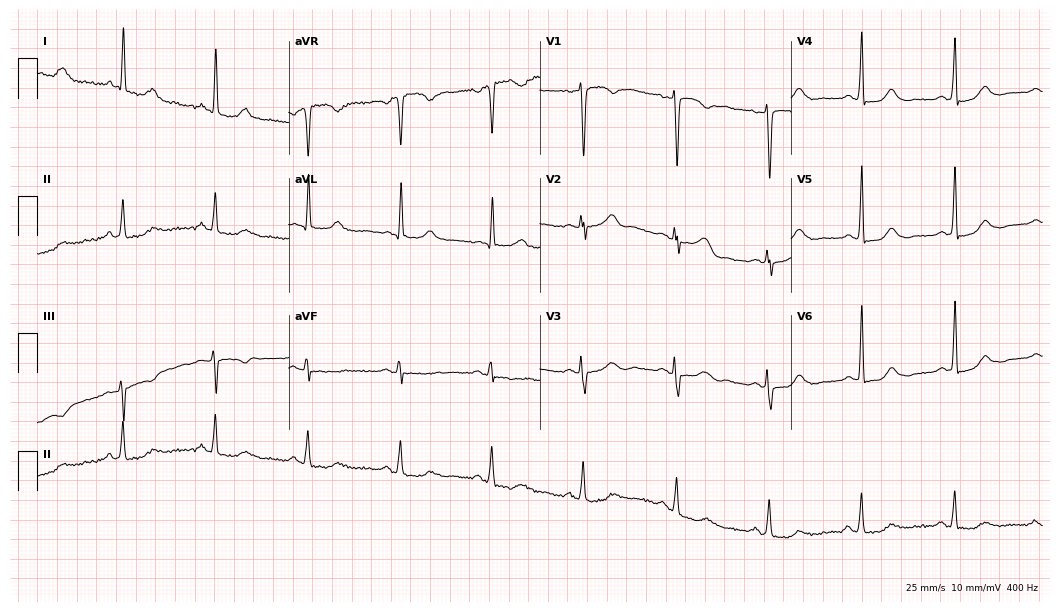
12-lead ECG from a female, 72 years old (10.2-second recording at 400 Hz). No first-degree AV block, right bundle branch block (RBBB), left bundle branch block (LBBB), sinus bradycardia, atrial fibrillation (AF) or sinus tachycardia recorded for this tracing. Other findings, if any, are not listed.